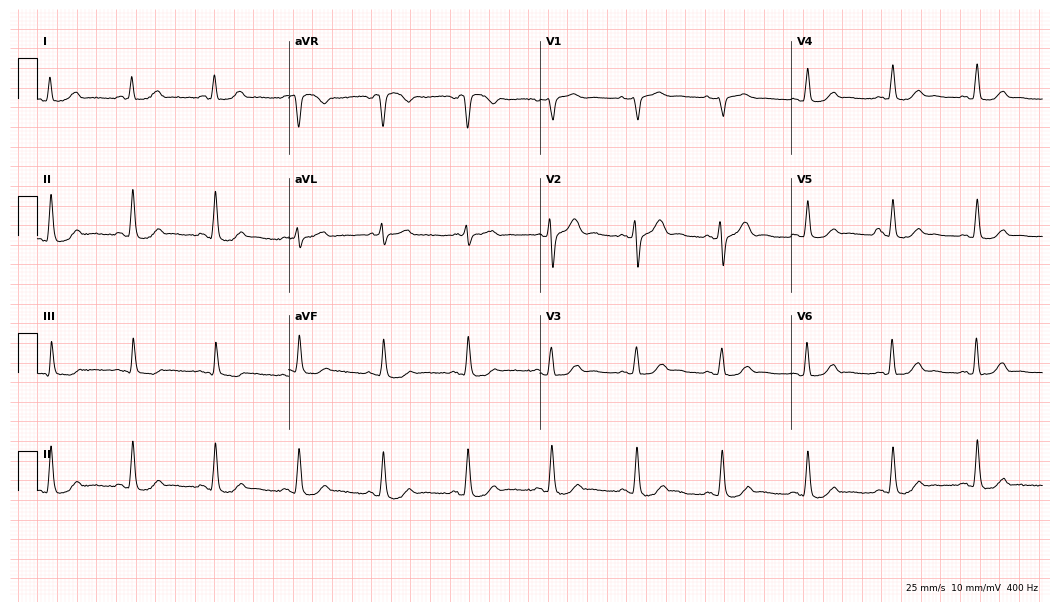
Standard 12-lead ECG recorded from a man, 55 years old (10.2-second recording at 400 Hz). Read as a normal ECG.